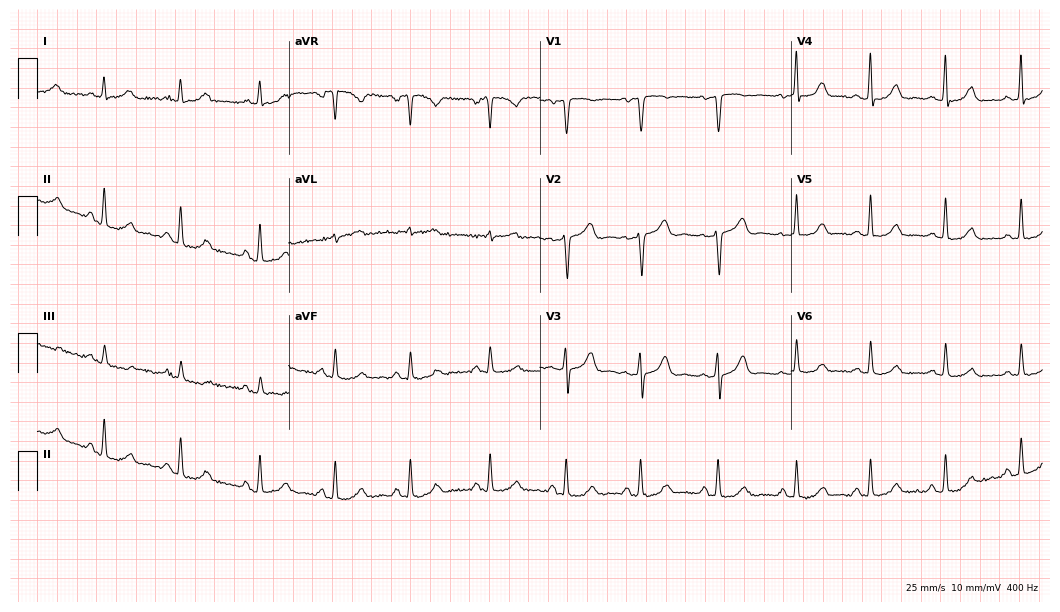
12-lead ECG from a 48-year-old female (10.2-second recording at 400 Hz). Recorded interpretation: within normal limits.